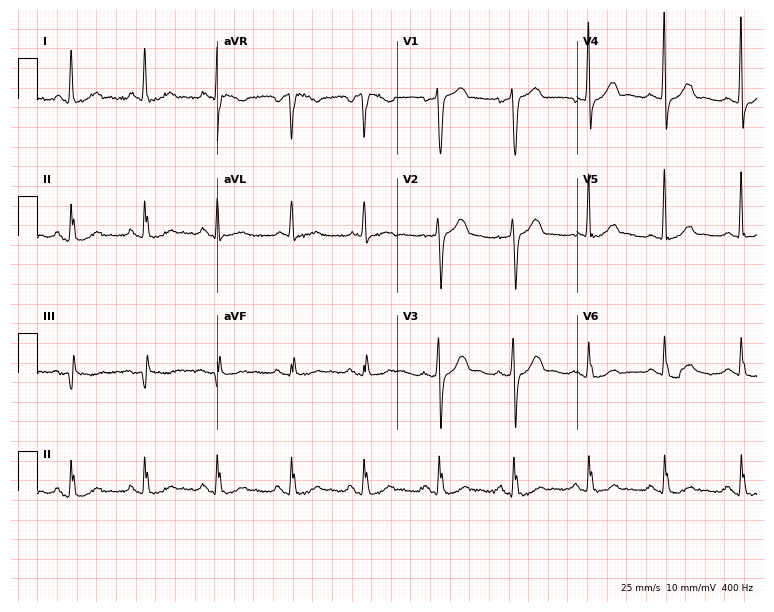
Standard 12-lead ECG recorded from a 57-year-old male. Read as a normal ECG.